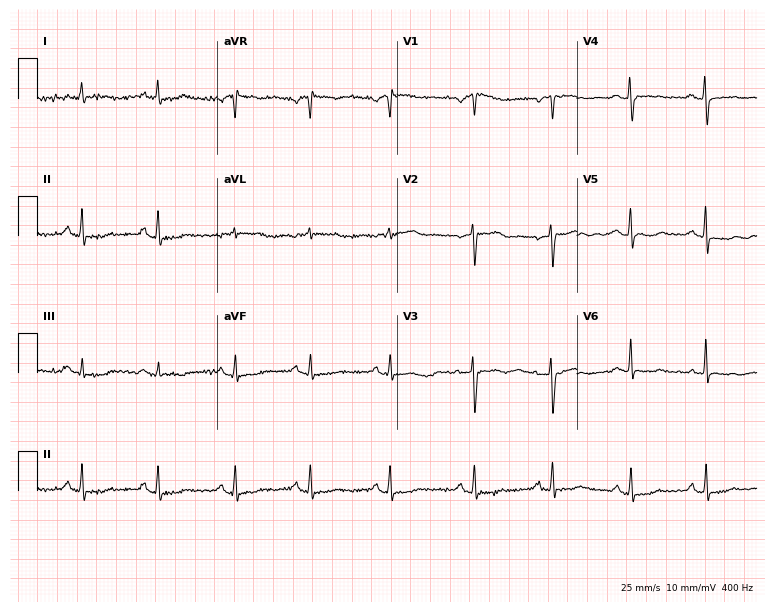
ECG (7.3-second recording at 400 Hz) — a woman, 44 years old. Screened for six findings — first-degree AV block, right bundle branch block, left bundle branch block, sinus bradycardia, atrial fibrillation, sinus tachycardia — none is recorded. Other findings, if any, are not listed.